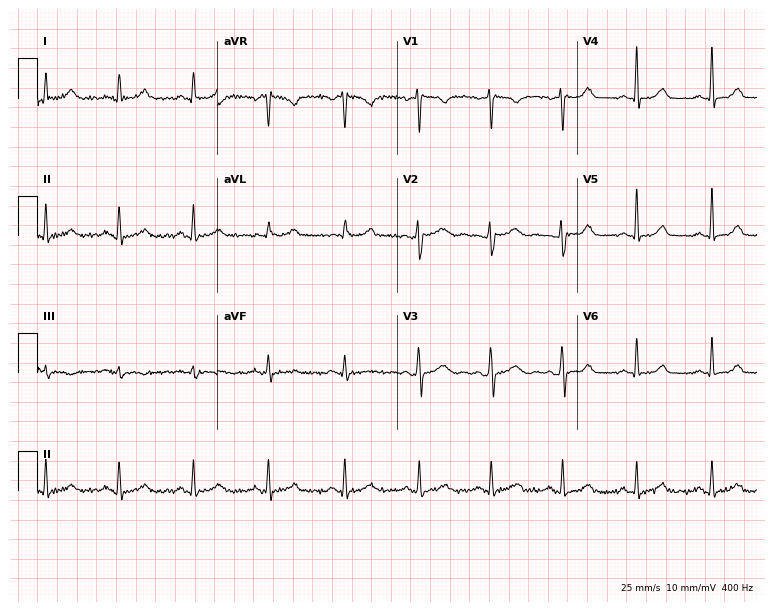
ECG — a 35-year-old woman. Labelled as a normal ECG.